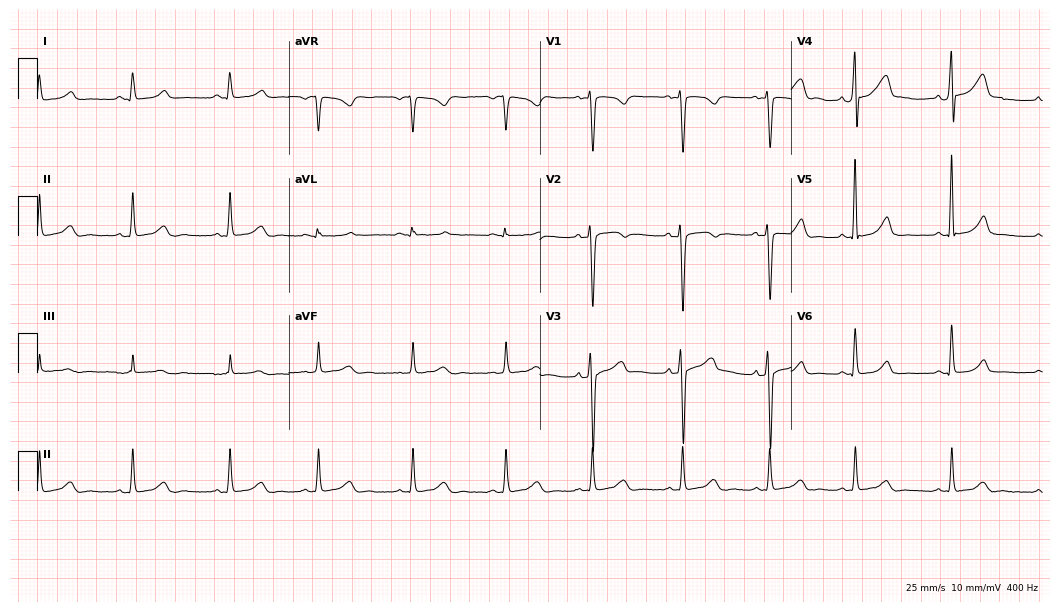
12-lead ECG from a 26-year-old woman. Recorded interpretation: within normal limits.